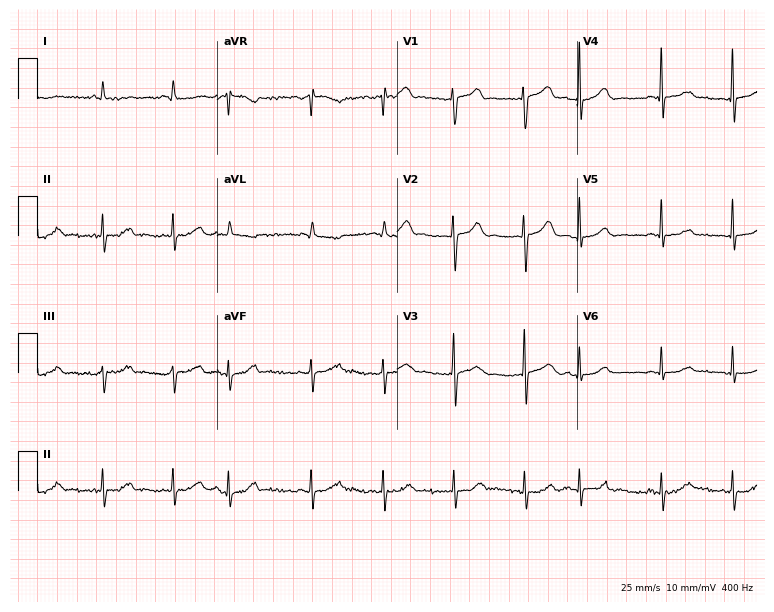
ECG — a female, 74 years old. Screened for six findings — first-degree AV block, right bundle branch block (RBBB), left bundle branch block (LBBB), sinus bradycardia, atrial fibrillation (AF), sinus tachycardia — none is recorded. Findings outside these six are not listed.